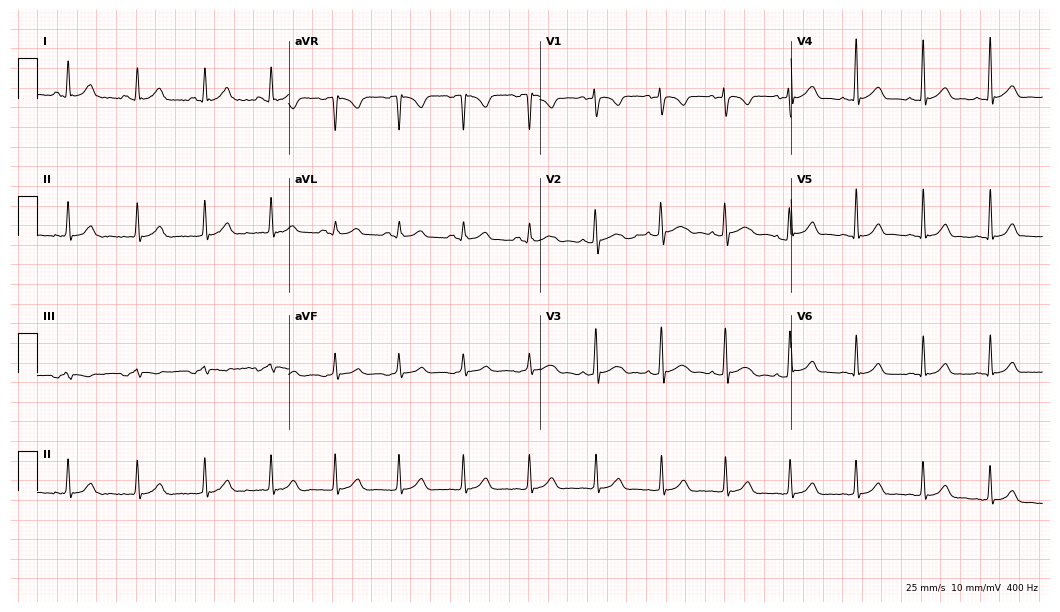
Standard 12-lead ECG recorded from a 27-year-old female (10.2-second recording at 400 Hz). None of these six findings is recorded: first-degree AV block, right bundle branch block, left bundle branch block, sinus bradycardia, atrial fibrillation, sinus tachycardia. Only these six findings were labelled.